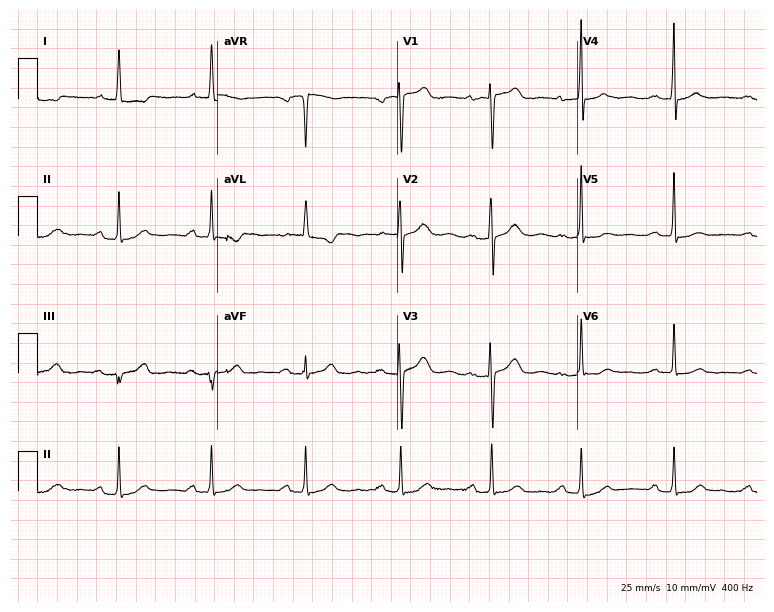
12-lead ECG from an 80-year-old woman (7.3-second recording at 400 Hz). No first-degree AV block, right bundle branch block, left bundle branch block, sinus bradycardia, atrial fibrillation or sinus tachycardia recorded for this tracing. Other findings, if any, are not listed.